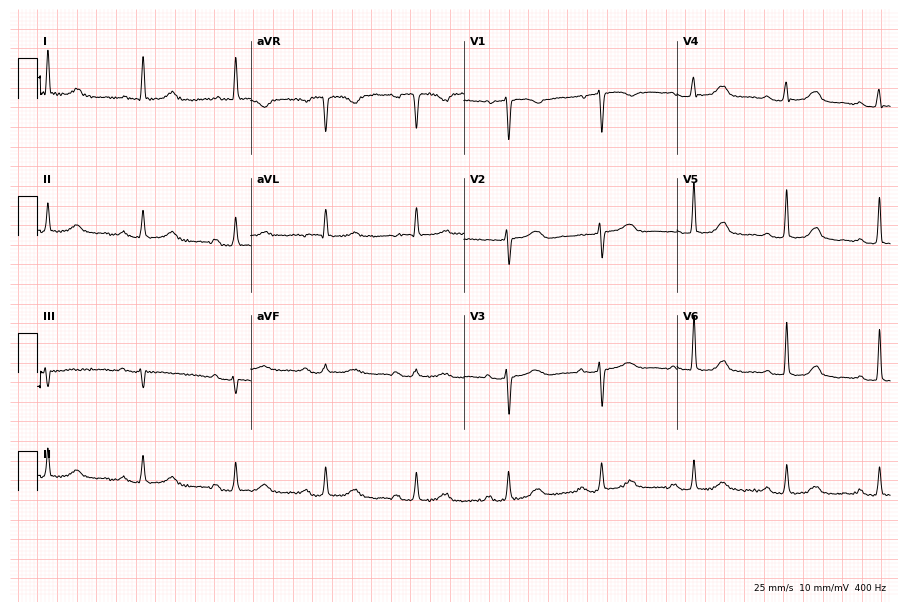
12-lead ECG (8.7-second recording at 400 Hz) from a female patient, 78 years old. Labelled as a normal ECG.